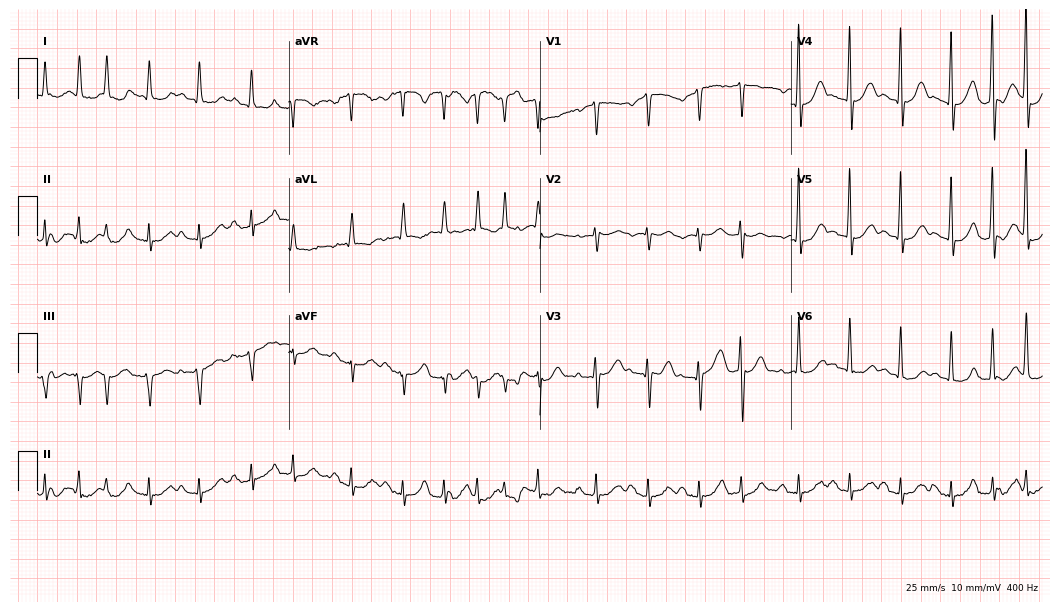
Electrocardiogram, a 68-year-old male. Interpretation includes sinus tachycardia (a sinus rate of 100 beats per minute or more).